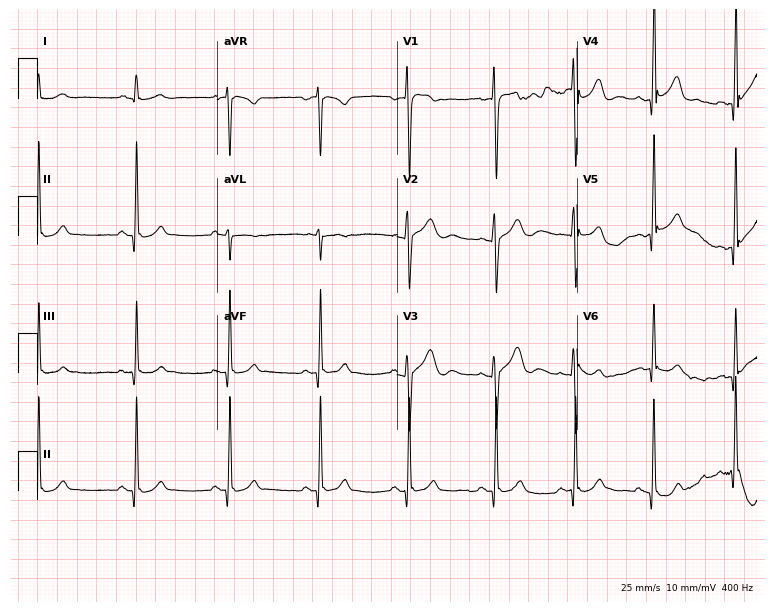
Standard 12-lead ECG recorded from a 22-year-old female. Read as a normal ECG.